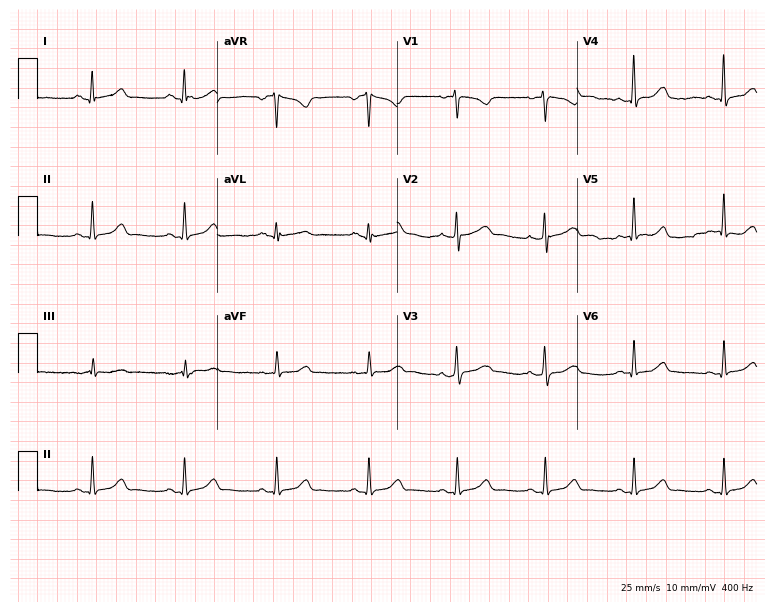
Electrocardiogram, a 40-year-old woman. Overall reading on record: normal ECG.